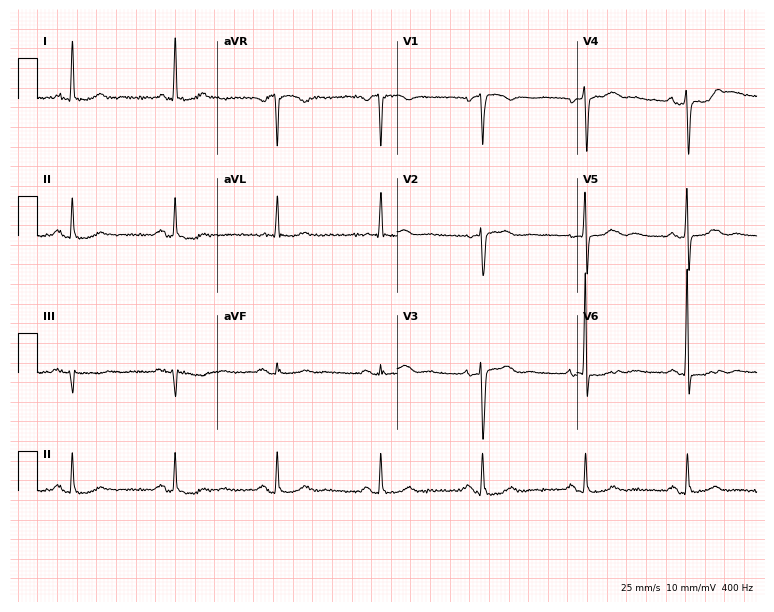
12-lead ECG from a male, 73 years old. Screened for six findings — first-degree AV block, right bundle branch block, left bundle branch block, sinus bradycardia, atrial fibrillation, sinus tachycardia — none is recorded. Other findings, if any, are not listed.